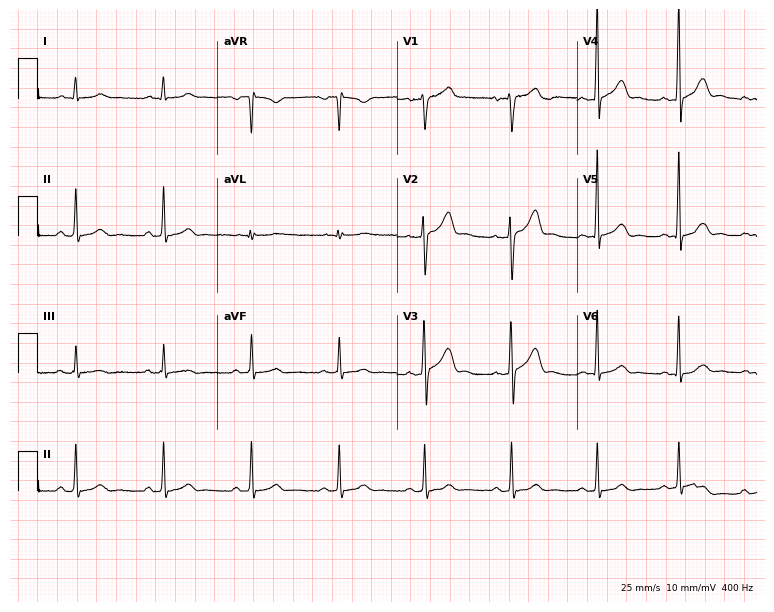
12-lead ECG from a 40-year-old male. Recorded interpretation: within normal limits.